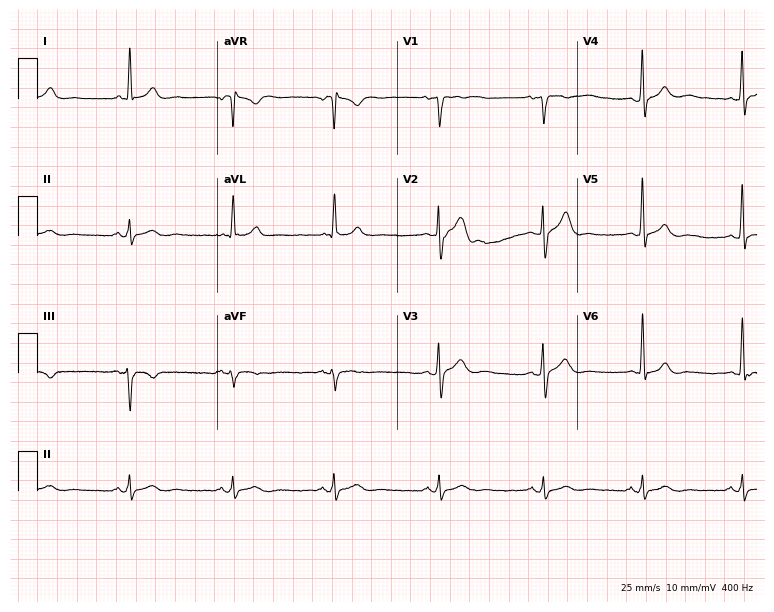
12-lead ECG from a male, 49 years old. Screened for six findings — first-degree AV block, right bundle branch block, left bundle branch block, sinus bradycardia, atrial fibrillation, sinus tachycardia — none is recorded. Only these six findings were labelled.